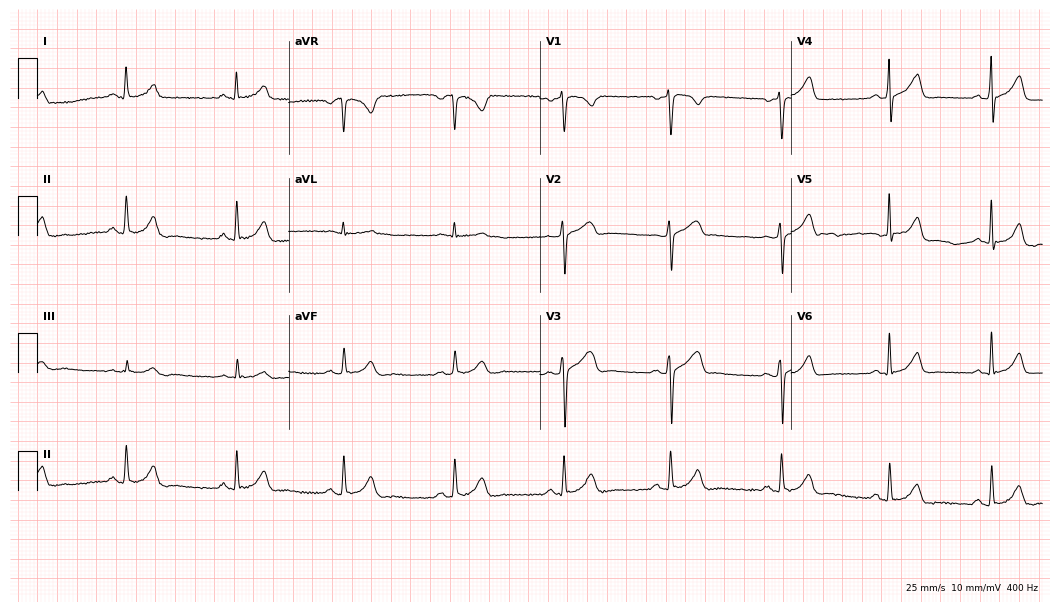
ECG — a man, 45 years old. Labelled as a normal ECG.